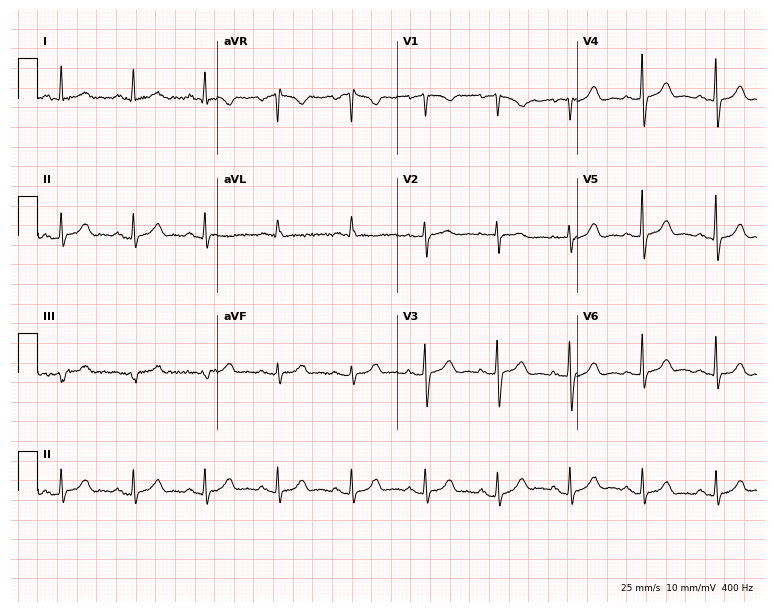
Standard 12-lead ECG recorded from a 74-year-old female (7.3-second recording at 400 Hz). Read as a normal ECG.